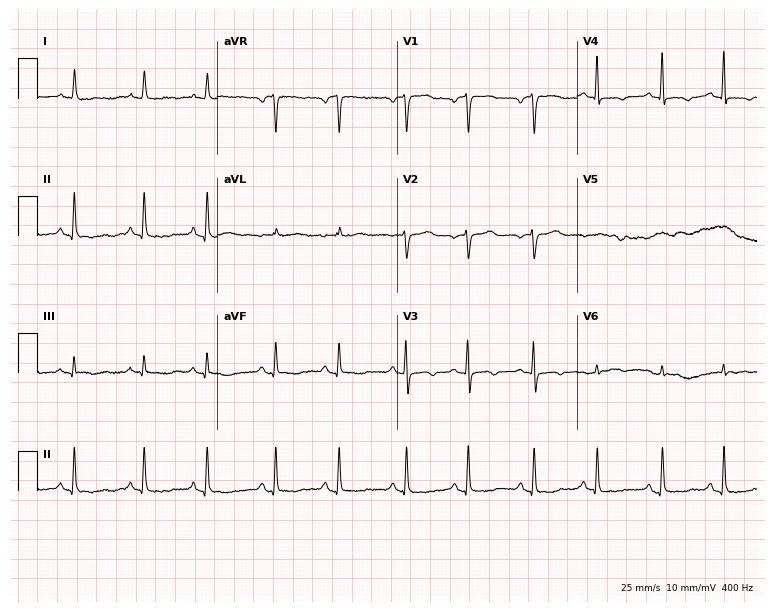
12-lead ECG from a woman, 70 years old (7.3-second recording at 400 Hz). No first-degree AV block, right bundle branch block (RBBB), left bundle branch block (LBBB), sinus bradycardia, atrial fibrillation (AF) or sinus tachycardia recorded for this tracing.